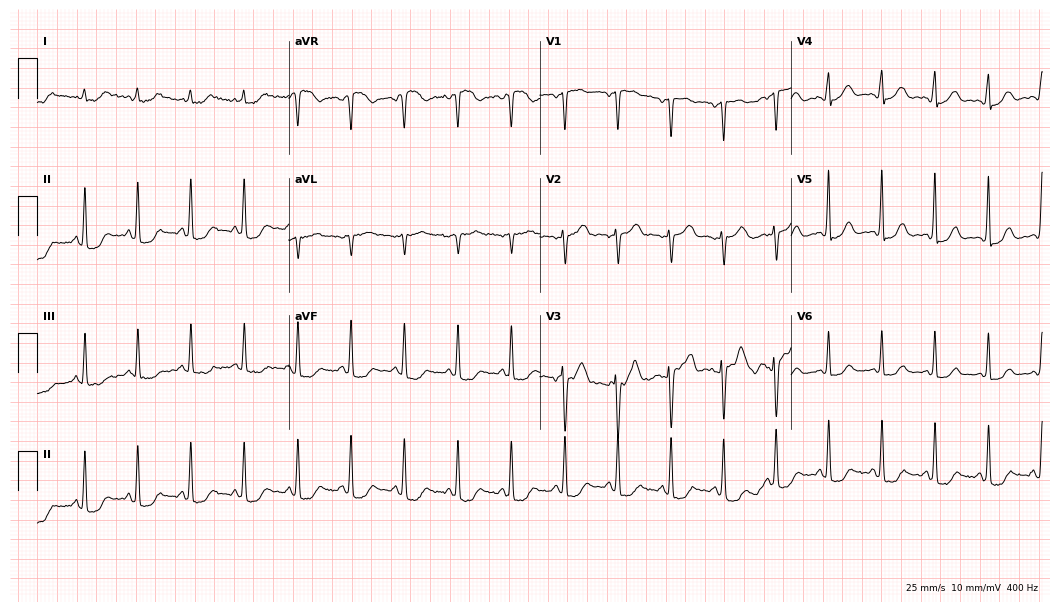
12-lead ECG (10.2-second recording at 400 Hz) from a female, 47 years old. Findings include sinus tachycardia (a sinus rate of 100 beats per minute or more).